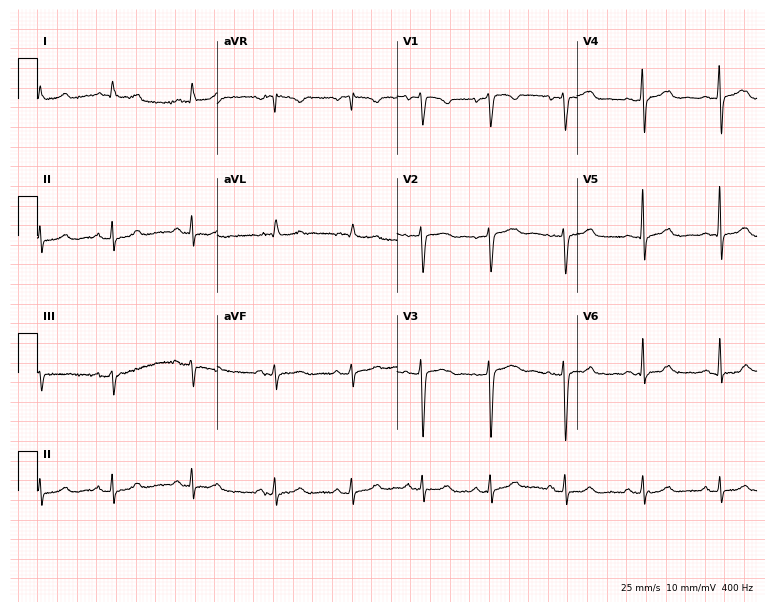
12-lead ECG from a female, 39 years old (7.3-second recording at 400 Hz). Recorded interpretation: within normal limits.